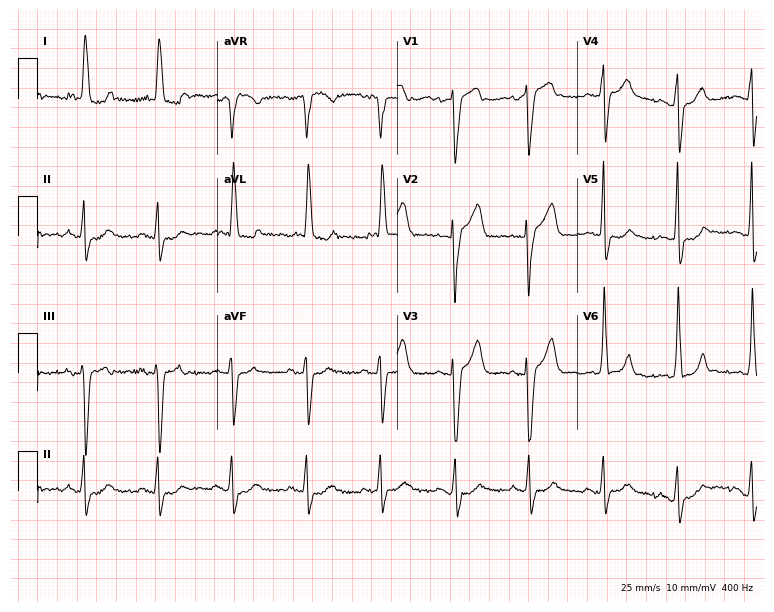
12-lead ECG (7.3-second recording at 400 Hz) from a female patient, 76 years old. Screened for six findings — first-degree AV block, right bundle branch block, left bundle branch block, sinus bradycardia, atrial fibrillation, sinus tachycardia — none is recorded.